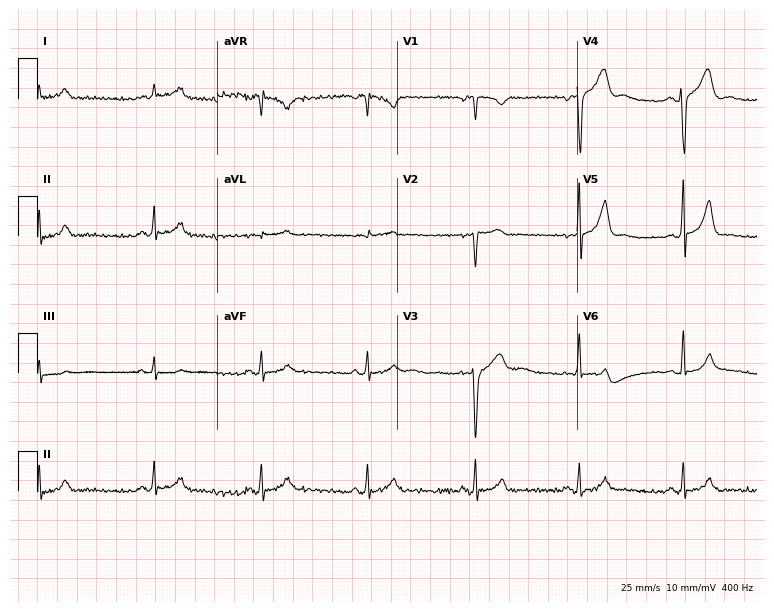
12-lead ECG from a 29-year-old male patient. No first-degree AV block, right bundle branch block, left bundle branch block, sinus bradycardia, atrial fibrillation or sinus tachycardia recorded for this tracing.